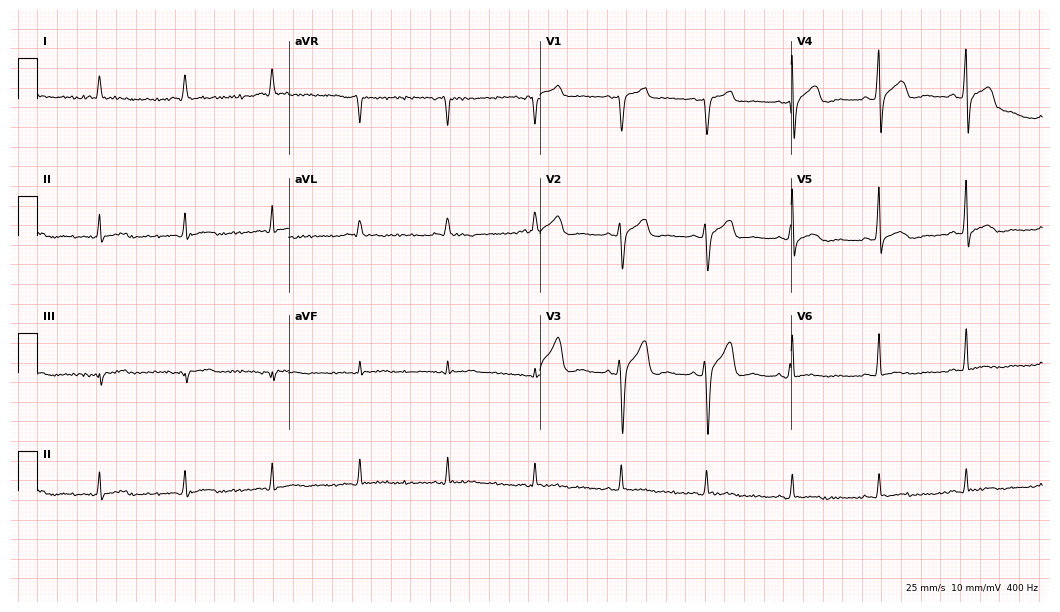
Resting 12-lead electrocardiogram (10.2-second recording at 400 Hz). Patient: a 62-year-old male. None of these six findings is recorded: first-degree AV block, right bundle branch block, left bundle branch block, sinus bradycardia, atrial fibrillation, sinus tachycardia.